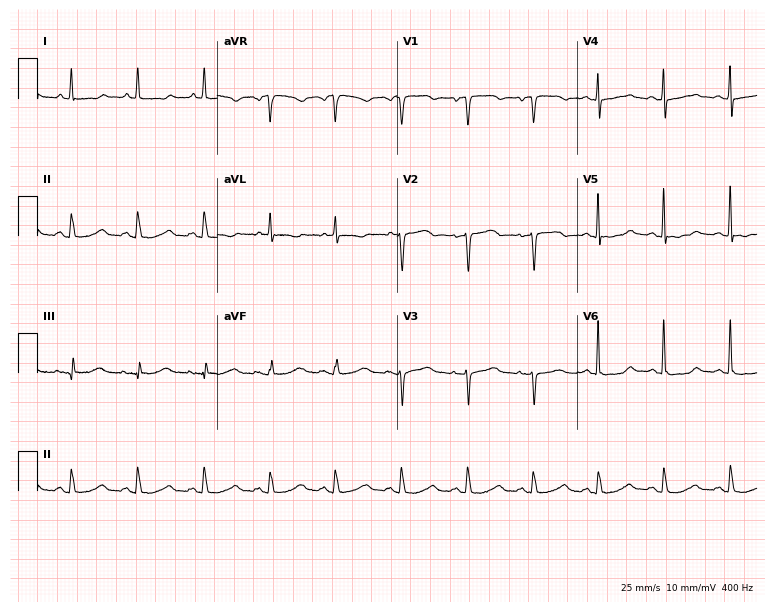
ECG — an 80-year-old female. Labelled as a normal ECG.